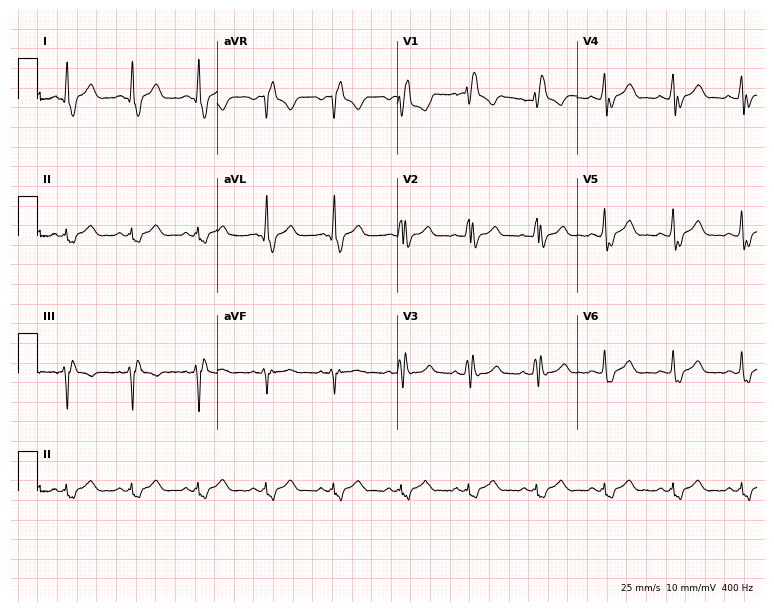
Electrocardiogram, a 35-year-old male patient. Interpretation includes right bundle branch block (RBBB).